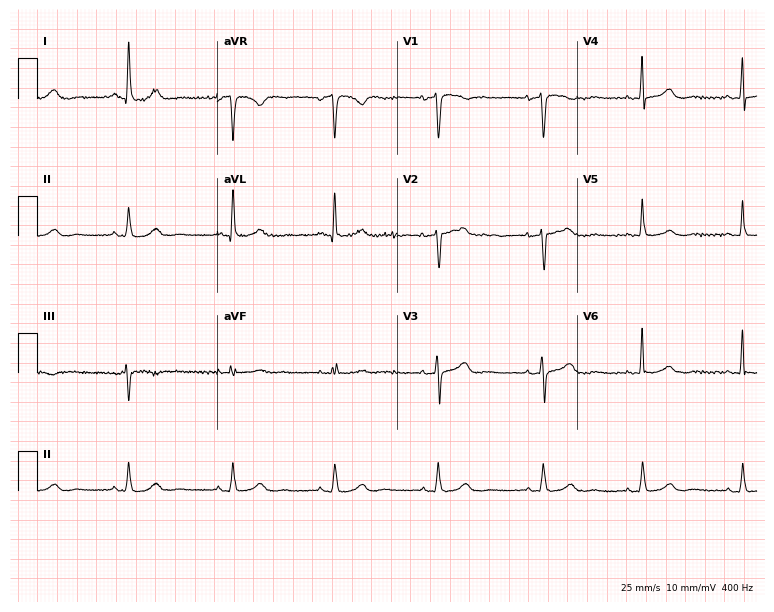
ECG — a female, 75 years old. Screened for six findings — first-degree AV block, right bundle branch block, left bundle branch block, sinus bradycardia, atrial fibrillation, sinus tachycardia — none is recorded.